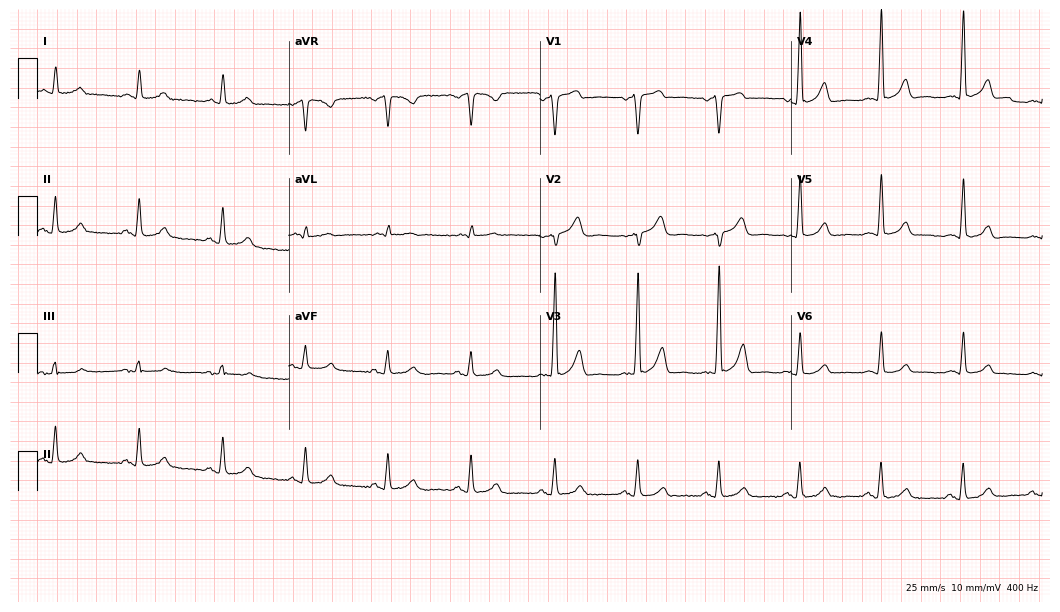
12-lead ECG from a man, 54 years old. Screened for six findings — first-degree AV block, right bundle branch block, left bundle branch block, sinus bradycardia, atrial fibrillation, sinus tachycardia — none is recorded. Other findings, if any, are not listed.